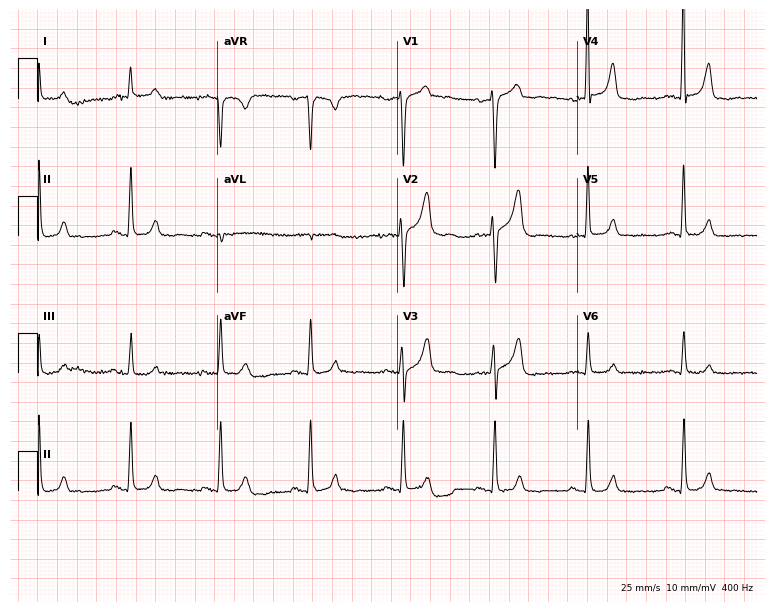
Electrocardiogram, a 70-year-old male. Of the six screened findings (first-degree AV block, right bundle branch block, left bundle branch block, sinus bradycardia, atrial fibrillation, sinus tachycardia), none is recorded. Only these six findings were labelled.